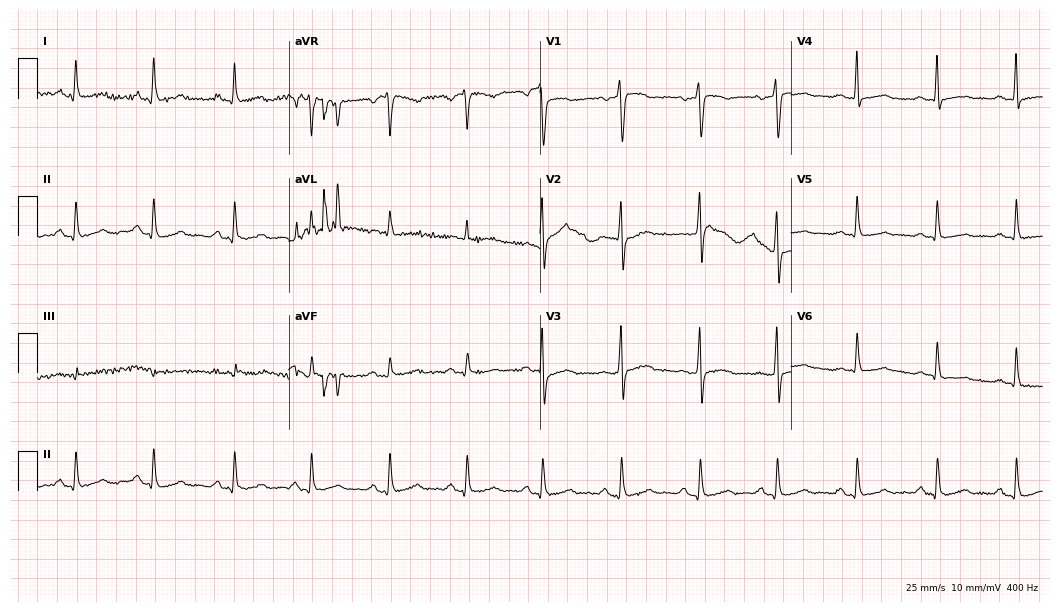
Standard 12-lead ECG recorded from a 48-year-old female (10.2-second recording at 400 Hz). None of these six findings is recorded: first-degree AV block, right bundle branch block (RBBB), left bundle branch block (LBBB), sinus bradycardia, atrial fibrillation (AF), sinus tachycardia. Findings outside these six are not listed.